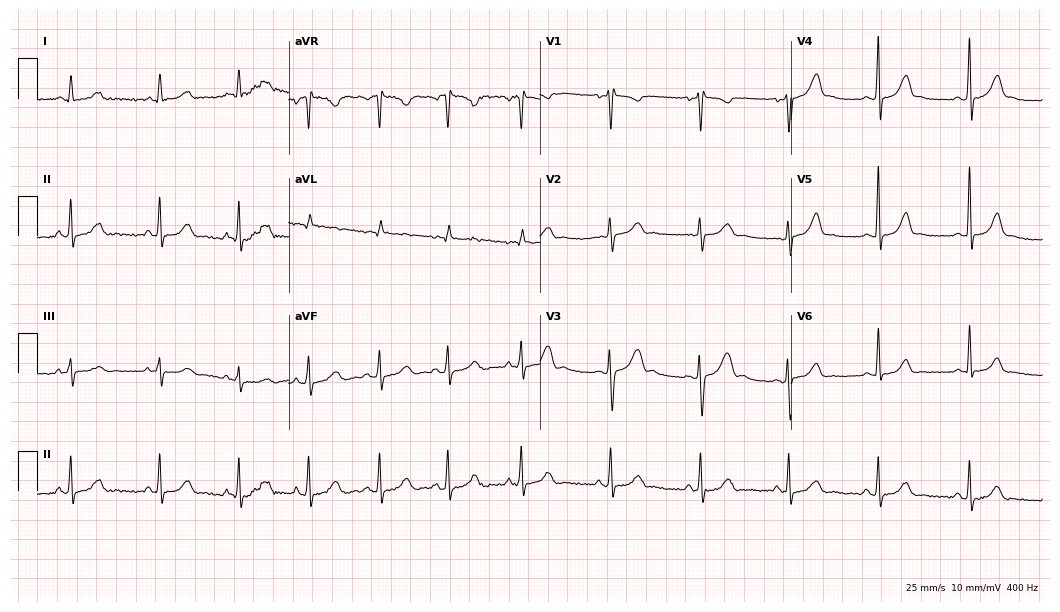
12-lead ECG from a 19-year-old female patient. No first-degree AV block, right bundle branch block (RBBB), left bundle branch block (LBBB), sinus bradycardia, atrial fibrillation (AF) or sinus tachycardia recorded for this tracing. Only these six findings were labelled.